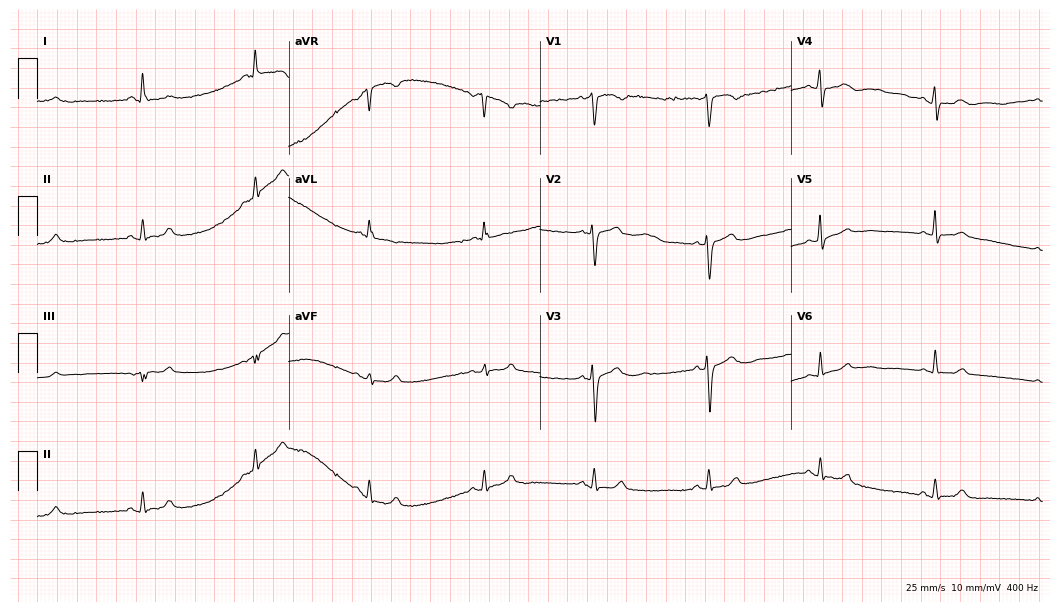
Electrocardiogram (10.2-second recording at 400 Hz), a 25-year-old female. Overall reading on record: normal ECG.